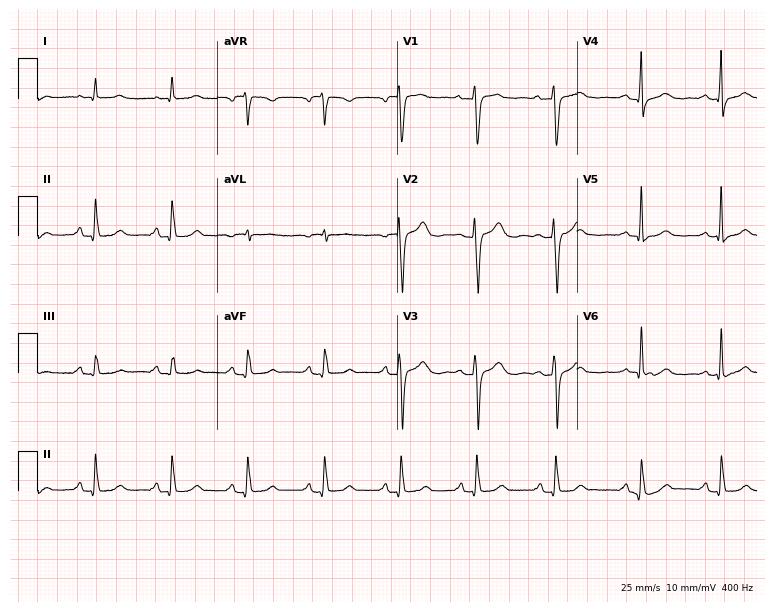
12-lead ECG (7.3-second recording at 400 Hz) from a woman, 50 years old. Labelled as a normal ECG.